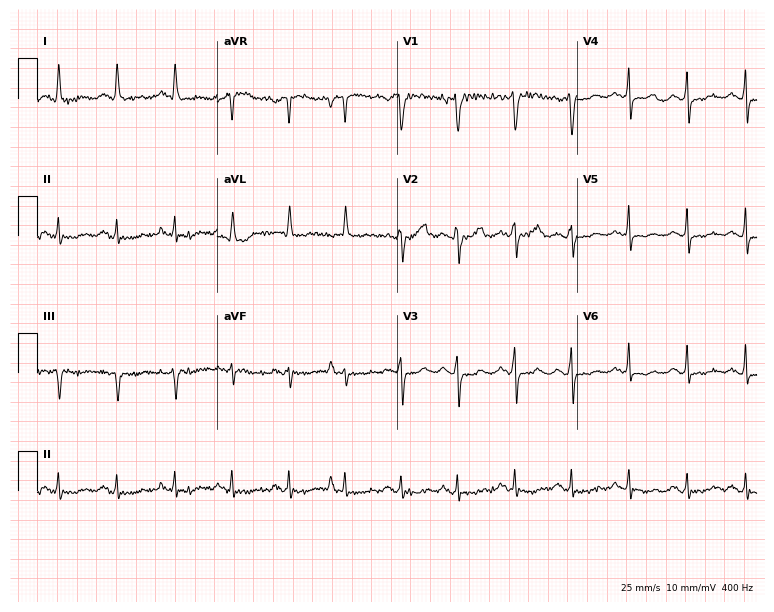
Standard 12-lead ECG recorded from a female, 73 years old. The tracing shows sinus tachycardia (a sinus rate of 100 beats per minute or more).